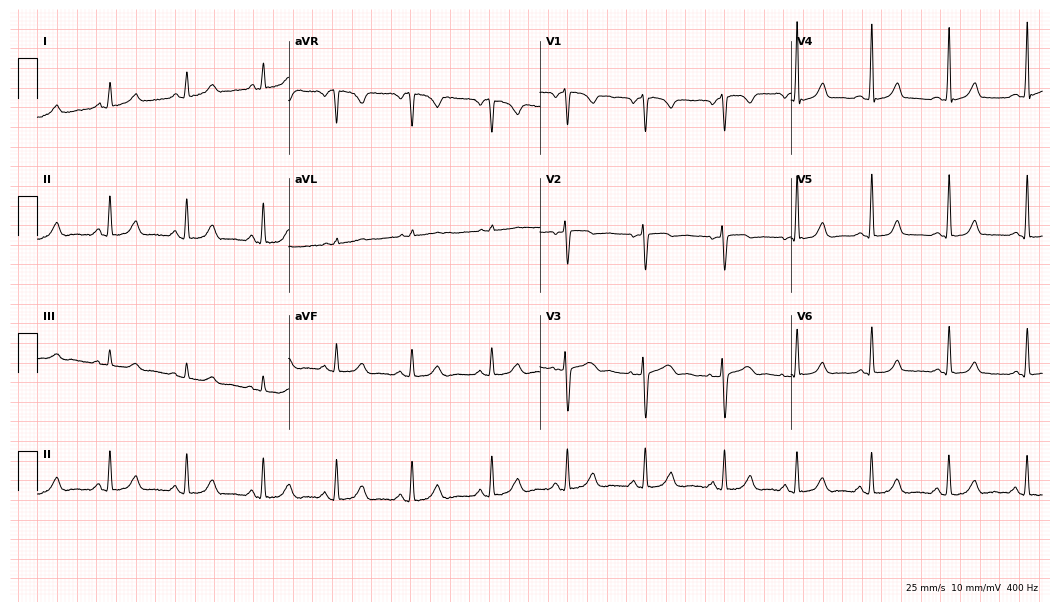
12-lead ECG from a female patient, 40 years old. Labelled as a normal ECG.